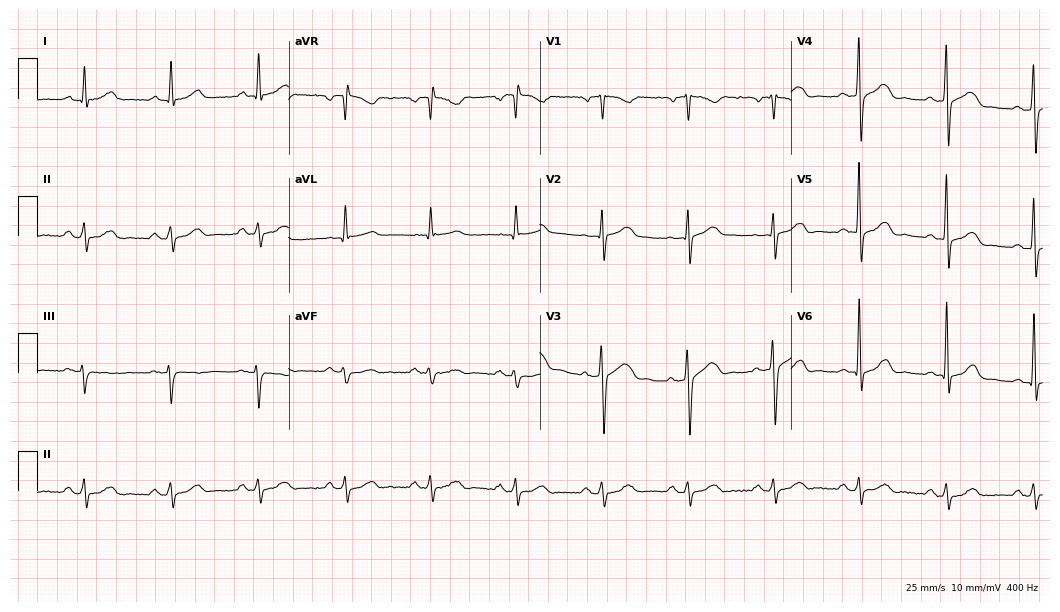
ECG (10.2-second recording at 400 Hz) — a 64-year-old male patient. Screened for six findings — first-degree AV block, right bundle branch block (RBBB), left bundle branch block (LBBB), sinus bradycardia, atrial fibrillation (AF), sinus tachycardia — none is recorded.